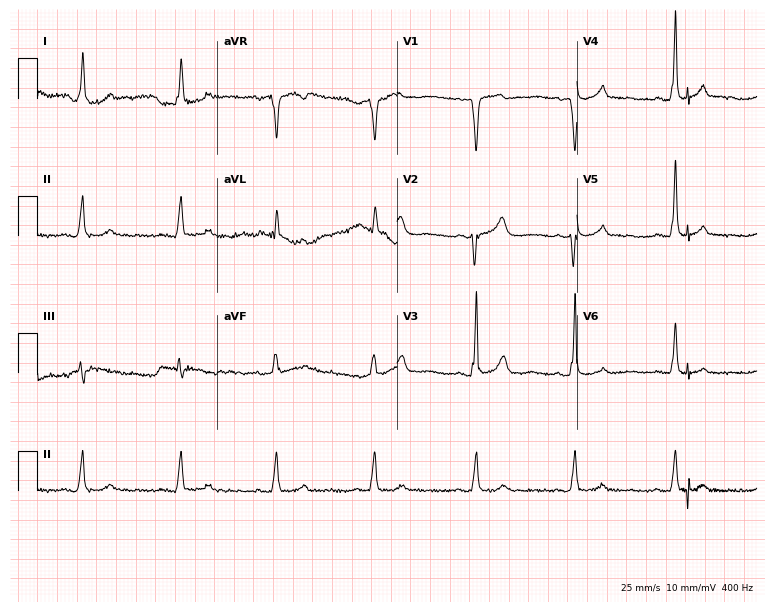
Resting 12-lead electrocardiogram (7.3-second recording at 400 Hz). Patient: a 79-year-old woman. None of these six findings is recorded: first-degree AV block, right bundle branch block, left bundle branch block, sinus bradycardia, atrial fibrillation, sinus tachycardia.